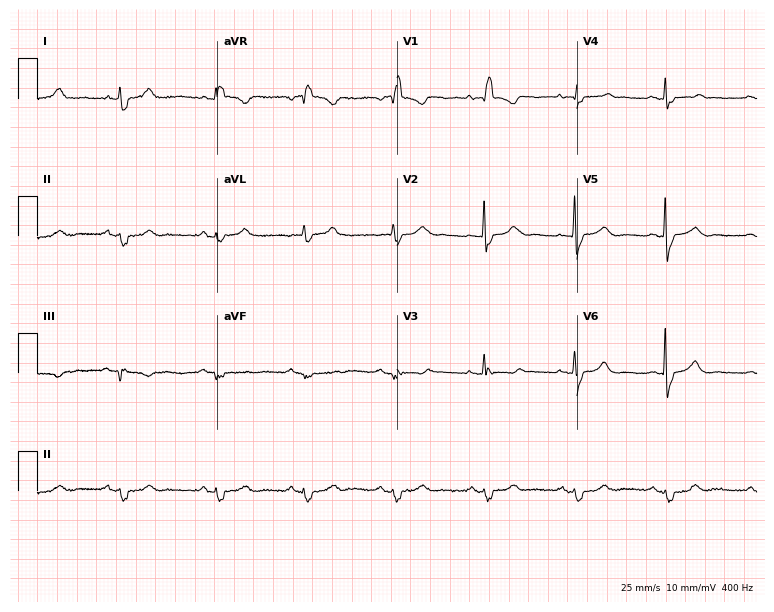
ECG — a woman, 79 years old. Findings include right bundle branch block.